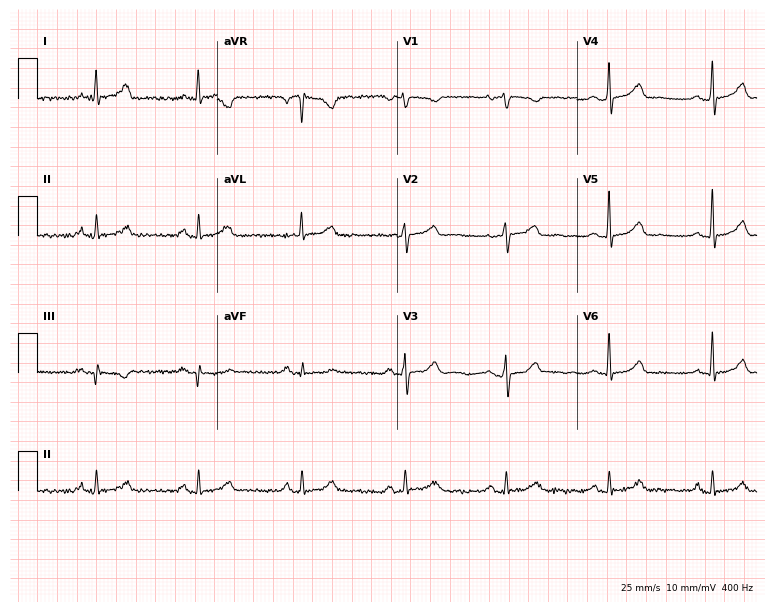
ECG (7.3-second recording at 400 Hz) — a 48-year-old female. Labelled as a normal ECG.